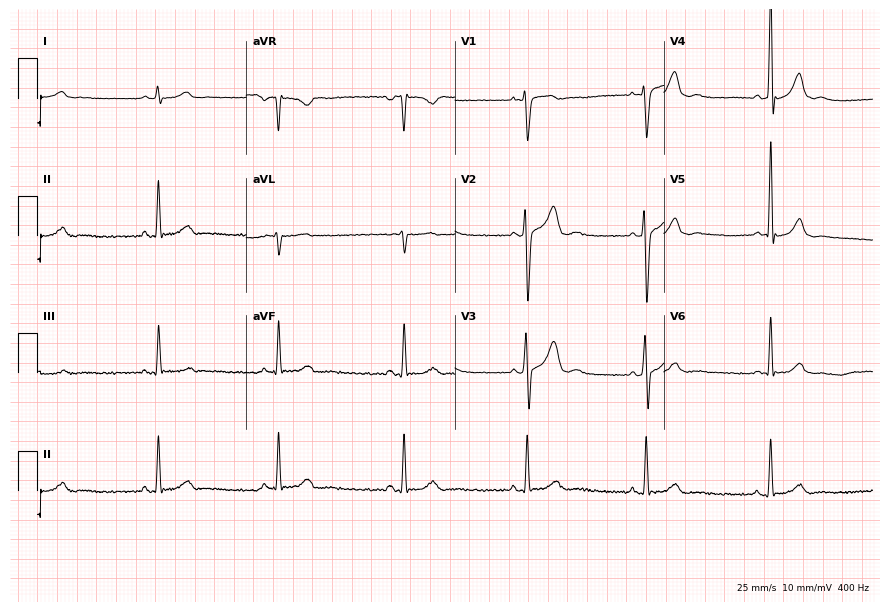
Resting 12-lead electrocardiogram (8.5-second recording at 400 Hz). Patient: a male, 36 years old. The tracing shows sinus bradycardia (a sinus rate of 50 beats per minute or less).